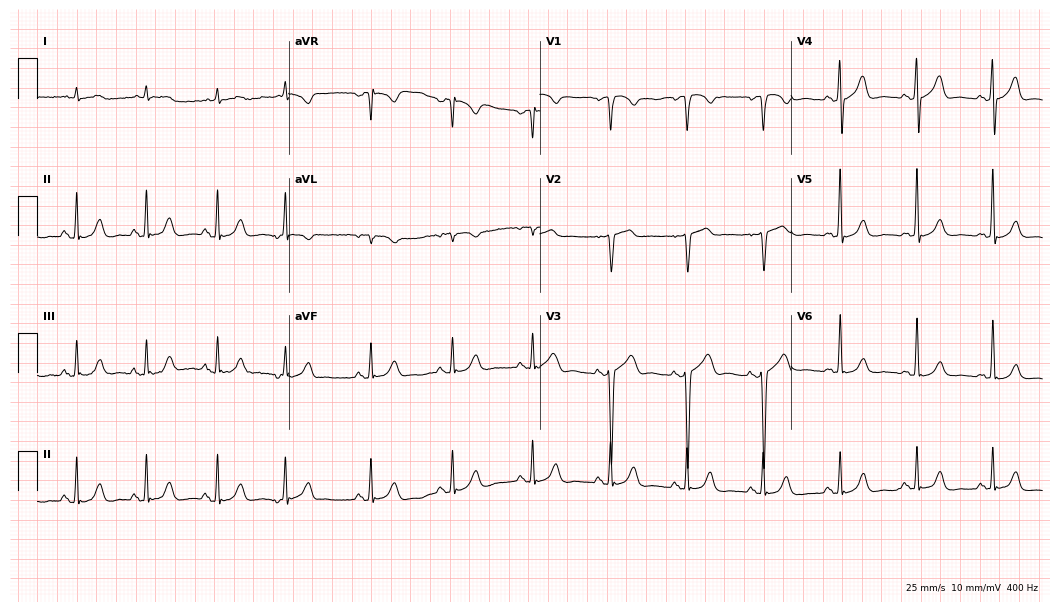
Resting 12-lead electrocardiogram (10.2-second recording at 400 Hz). Patient: a male, 85 years old. None of these six findings is recorded: first-degree AV block, right bundle branch block (RBBB), left bundle branch block (LBBB), sinus bradycardia, atrial fibrillation (AF), sinus tachycardia.